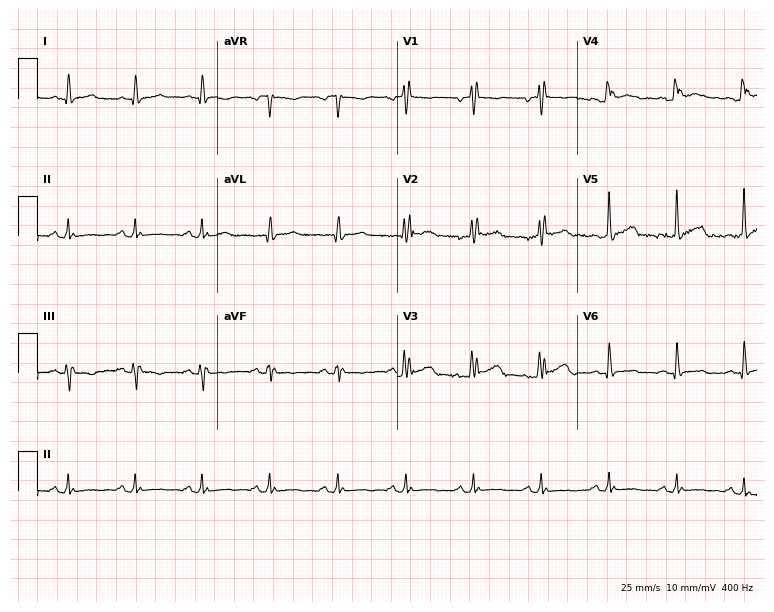
ECG (7.3-second recording at 400 Hz) — a 34-year-old man. Screened for six findings — first-degree AV block, right bundle branch block (RBBB), left bundle branch block (LBBB), sinus bradycardia, atrial fibrillation (AF), sinus tachycardia — none is recorded. Other findings, if any, are not listed.